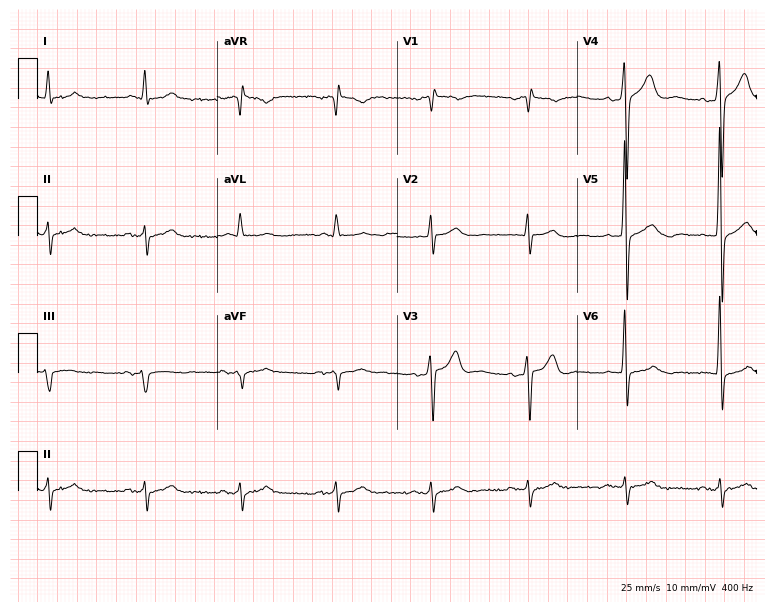
ECG (7.3-second recording at 400 Hz) — a 70-year-old man. Findings include right bundle branch block.